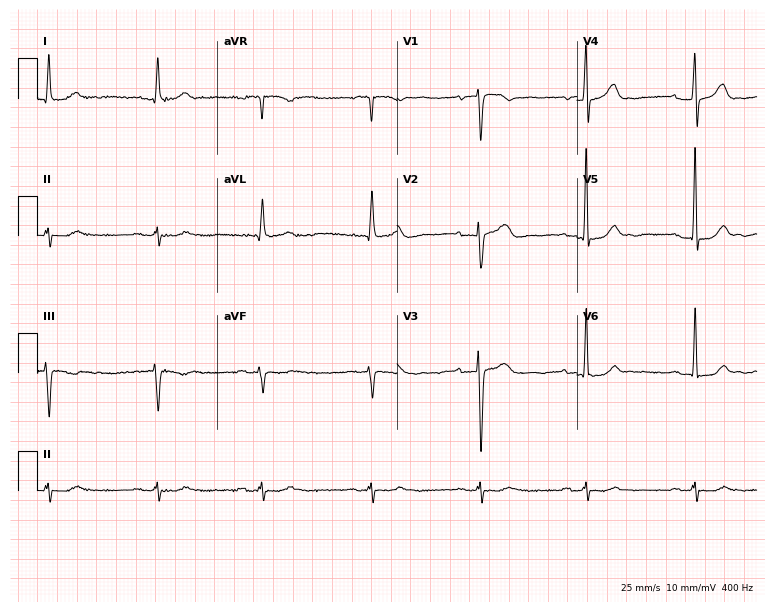
12-lead ECG from a male, 78 years old. Labelled as a normal ECG.